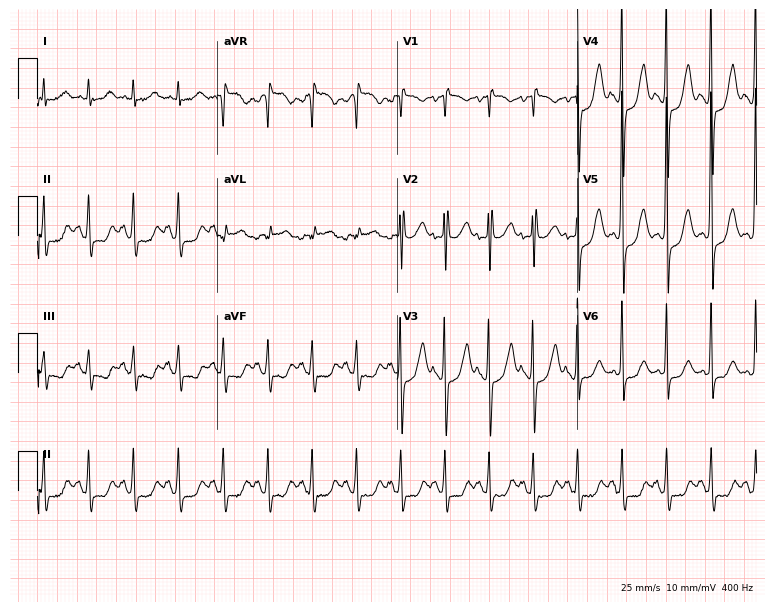
12-lead ECG from a female, 63 years old. Findings include sinus tachycardia (a sinus rate of 100 beats per minute or more).